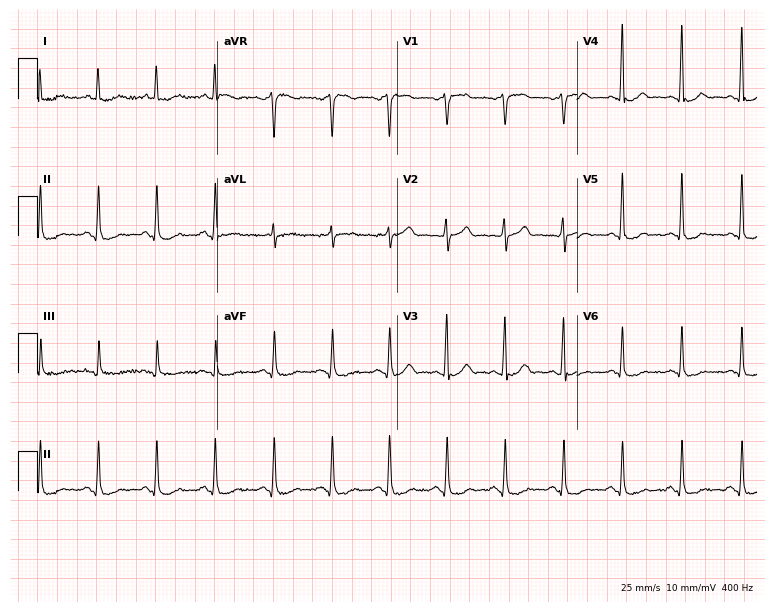
ECG (7.3-second recording at 400 Hz) — a male patient, 68 years old. Screened for six findings — first-degree AV block, right bundle branch block, left bundle branch block, sinus bradycardia, atrial fibrillation, sinus tachycardia — none is recorded.